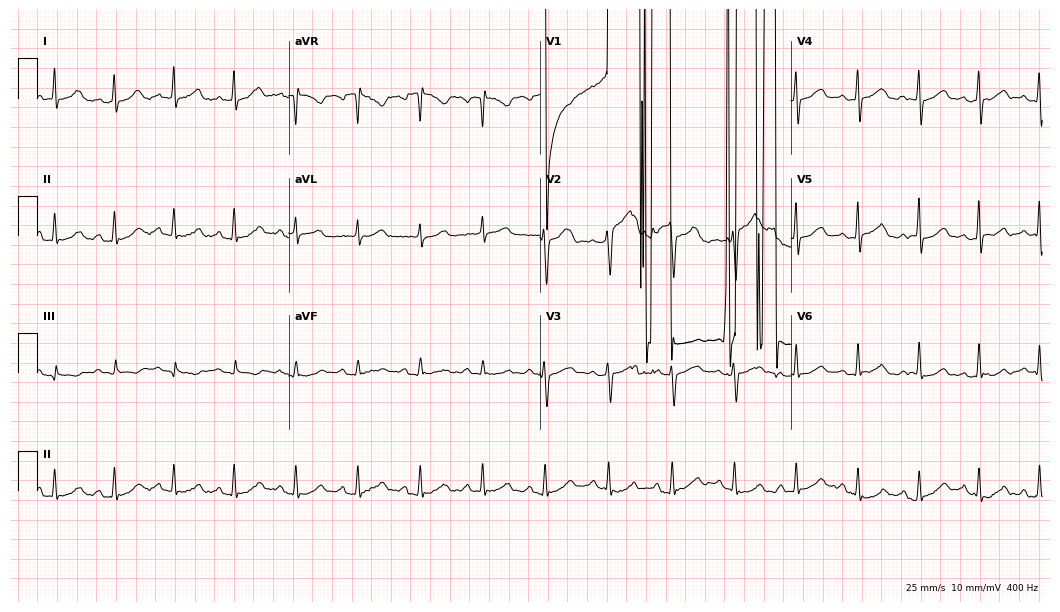
Standard 12-lead ECG recorded from a 33-year-old female patient. None of these six findings is recorded: first-degree AV block, right bundle branch block, left bundle branch block, sinus bradycardia, atrial fibrillation, sinus tachycardia.